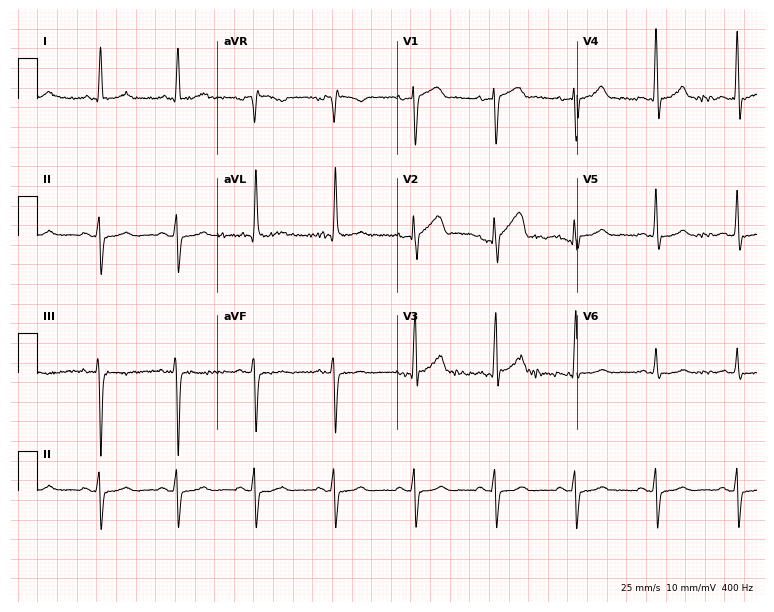
12-lead ECG from a male, 71 years old (7.3-second recording at 400 Hz). No first-degree AV block, right bundle branch block (RBBB), left bundle branch block (LBBB), sinus bradycardia, atrial fibrillation (AF) or sinus tachycardia recorded for this tracing. Other findings, if any, are not listed.